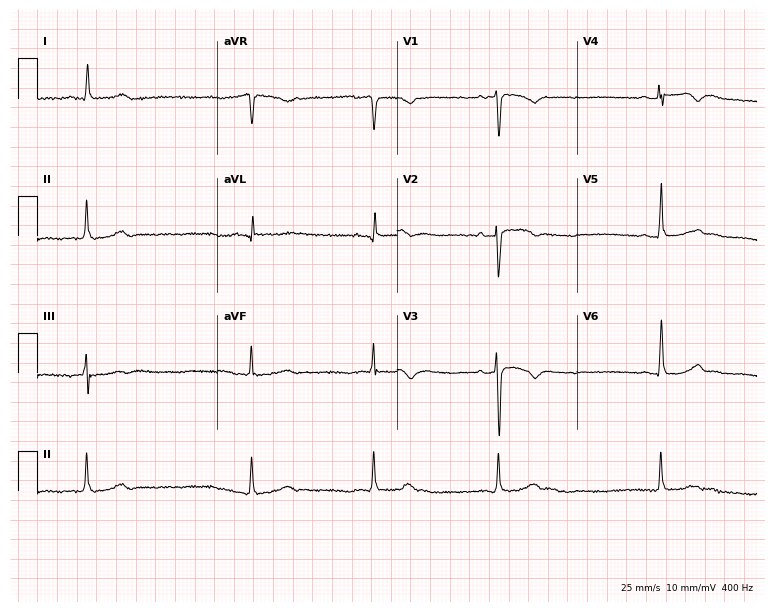
Electrocardiogram (7.3-second recording at 400 Hz), a female patient, 44 years old. Interpretation includes sinus bradycardia (a sinus rate of 50 beats per minute or less).